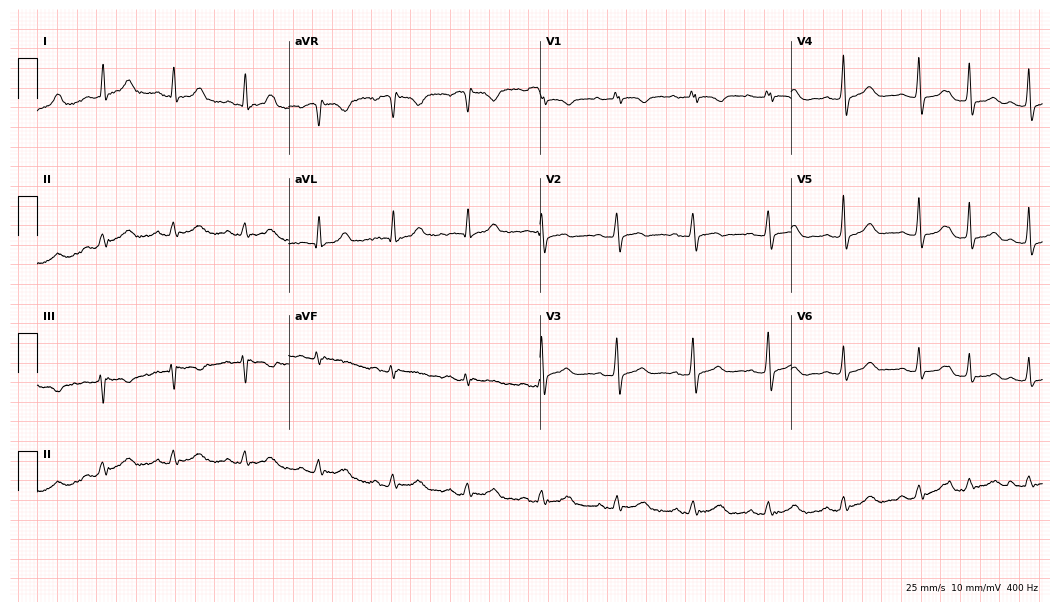
Electrocardiogram (10.2-second recording at 400 Hz), a female, 59 years old. Overall reading on record: normal ECG.